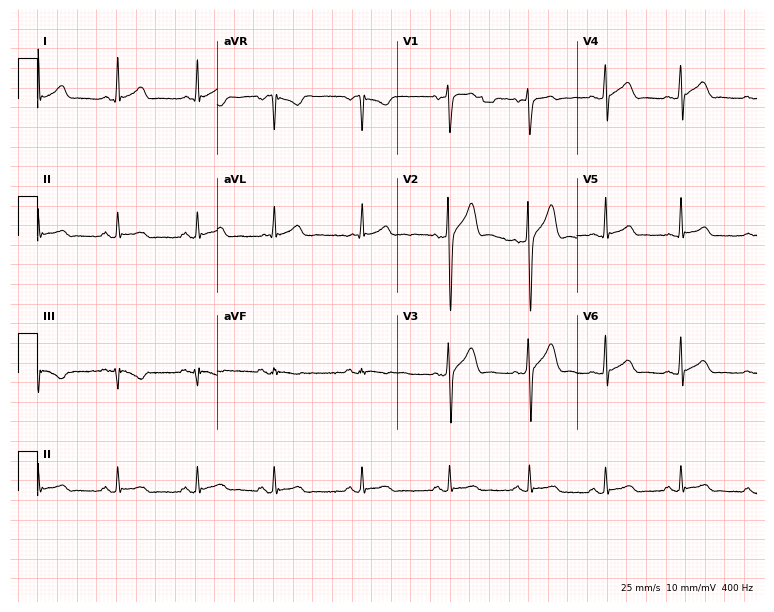
ECG (7.3-second recording at 400 Hz) — a male patient, 31 years old. Labelled as a normal ECG.